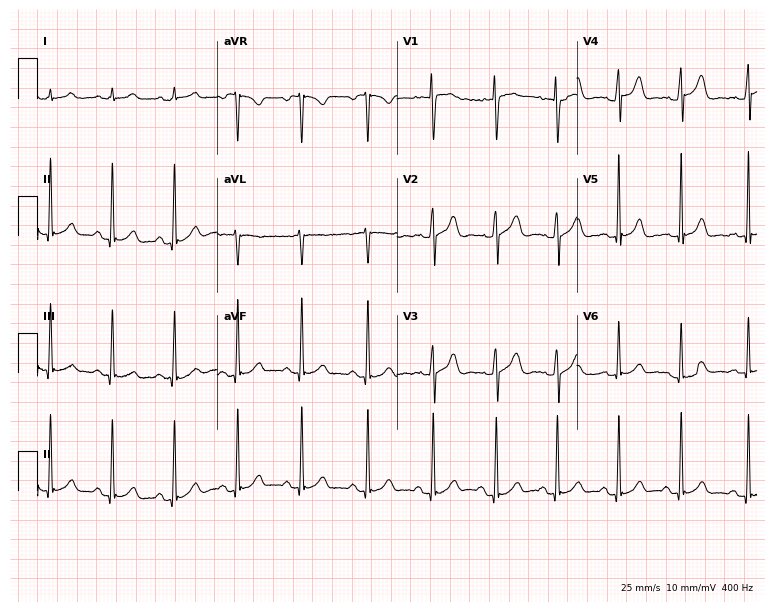
12-lead ECG from a female patient, 32 years old. Labelled as a normal ECG.